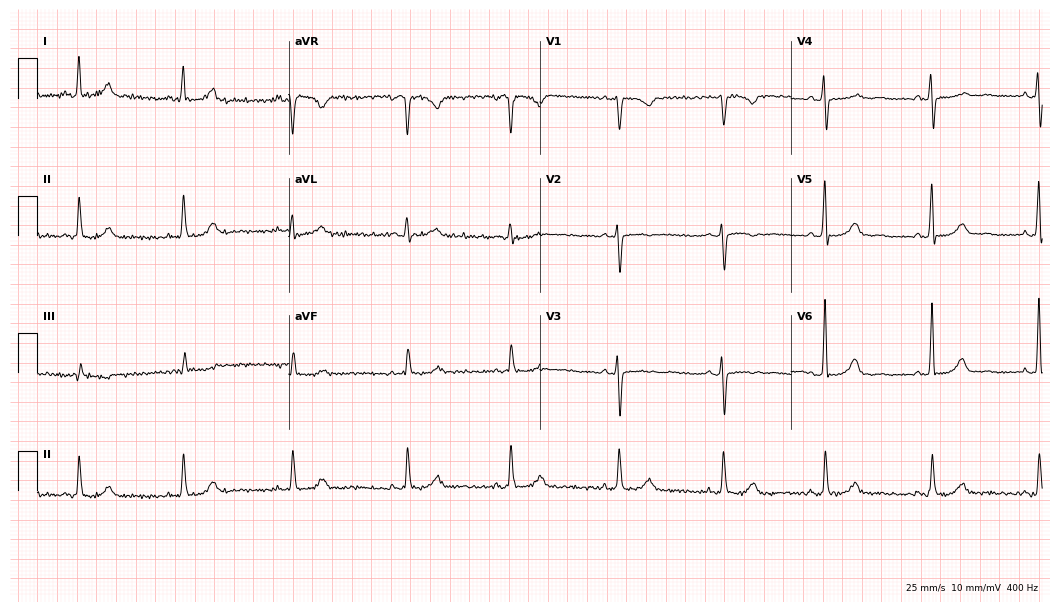
Electrocardiogram, a 52-year-old female patient. Of the six screened findings (first-degree AV block, right bundle branch block, left bundle branch block, sinus bradycardia, atrial fibrillation, sinus tachycardia), none is recorded.